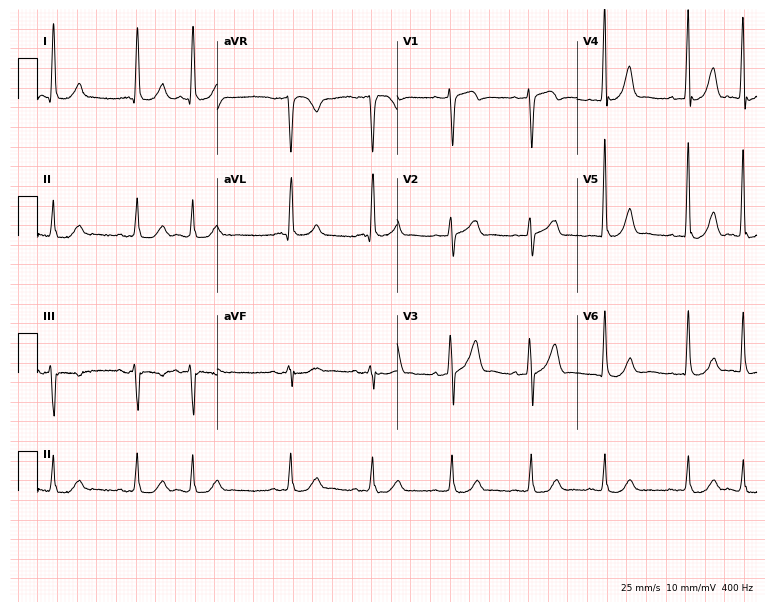
Electrocardiogram, an 83-year-old male patient. Of the six screened findings (first-degree AV block, right bundle branch block (RBBB), left bundle branch block (LBBB), sinus bradycardia, atrial fibrillation (AF), sinus tachycardia), none is recorded.